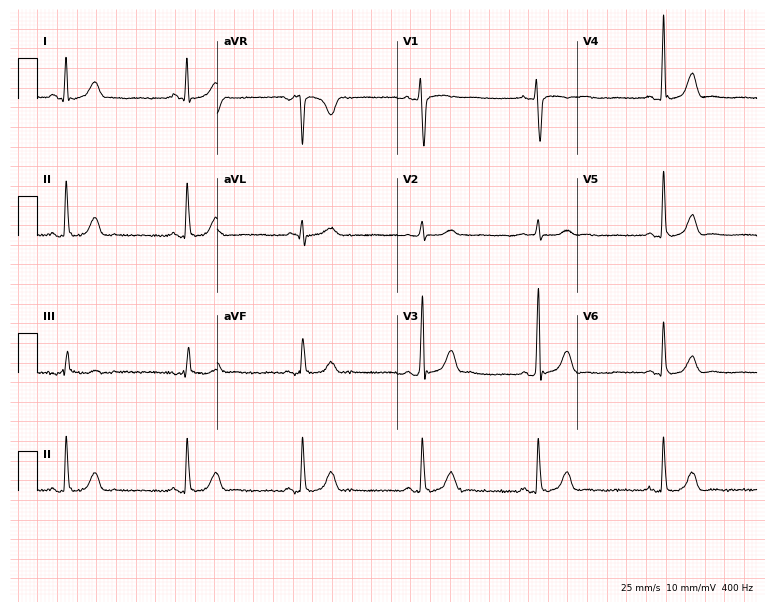
Standard 12-lead ECG recorded from a 27-year-old man (7.3-second recording at 400 Hz). None of these six findings is recorded: first-degree AV block, right bundle branch block, left bundle branch block, sinus bradycardia, atrial fibrillation, sinus tachycardia.